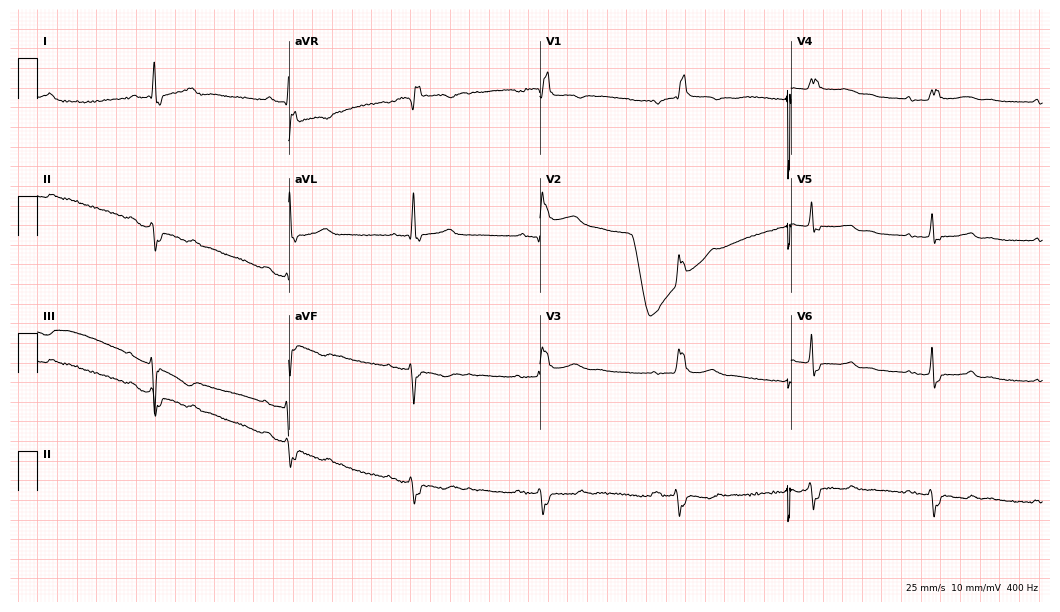
12-lead ECG (10.2-second recording at 400 Hz) from a female, 65 years old. Findings include sinus bradycardia (a sinus rate of 50 beats per minute or less).